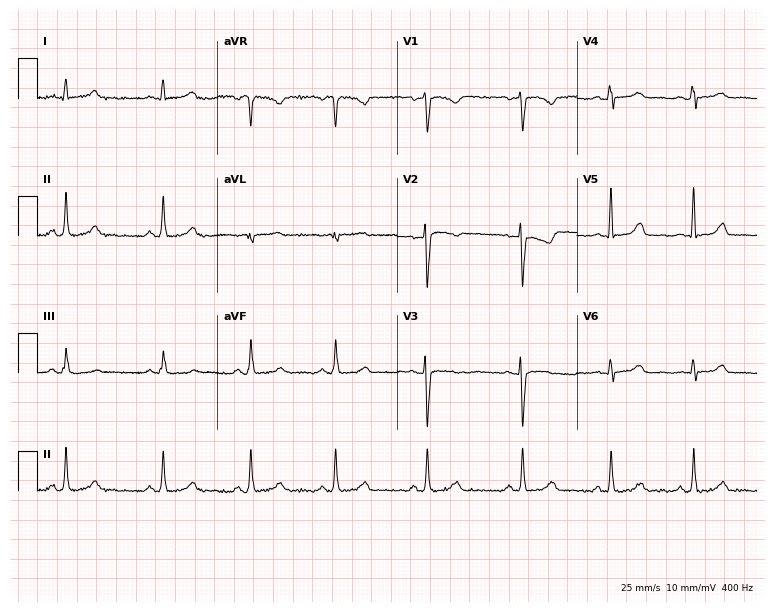
Resting 12-lead electrocardiogram. Patient: a 28-year-old female. None of these six findings is recorded: first-degree AV block, right bundle branch block (RBBB), left bundle branch block (LBBB), sinus bradycardia, atrial fibrillation (AF), sinus tachycardia.